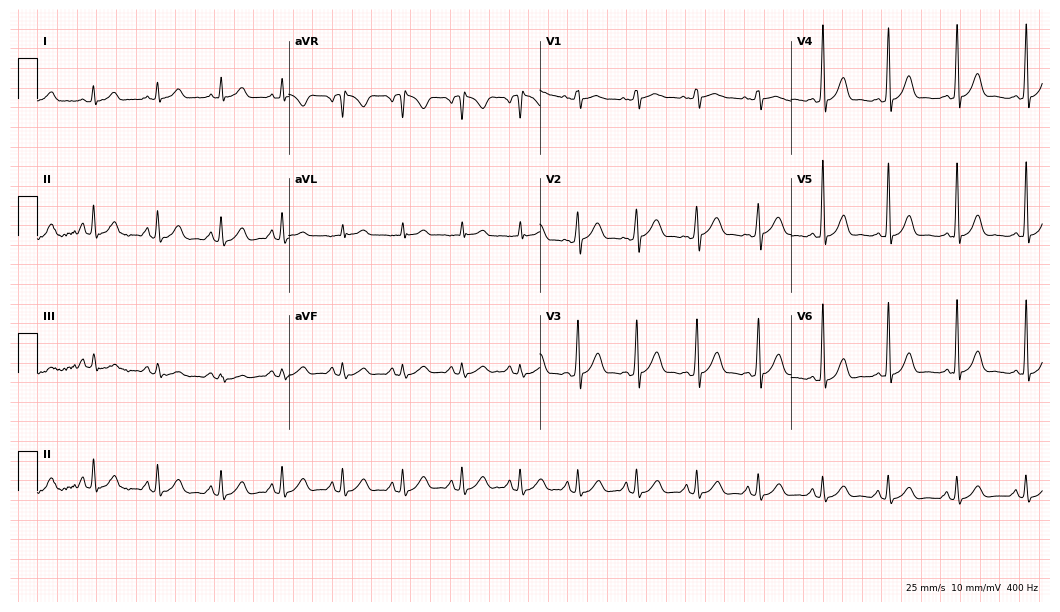
12-lead ECG from a 57-year-old man. Screened for six findings — first-degree AV block, right bundle branch block, left bundle branch block, sinus bradycardia, atrial fibrillation, sinus tachycardia — none is recorded.